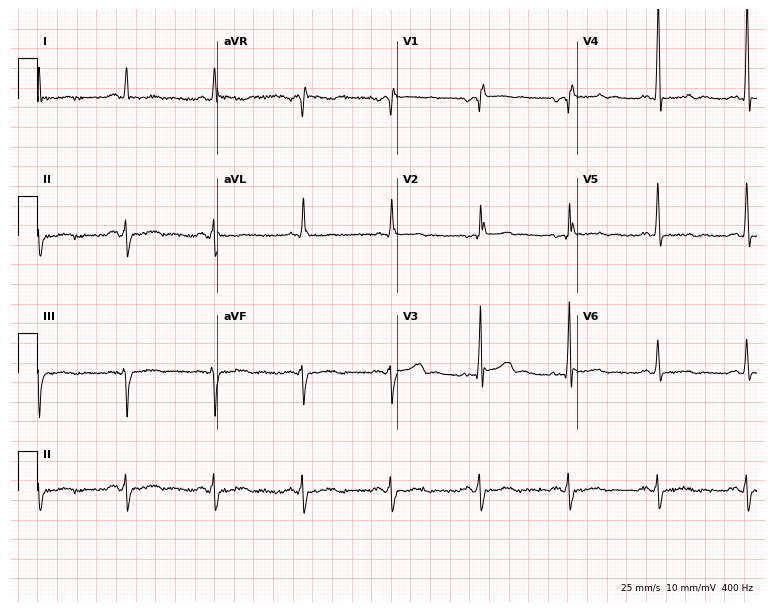
Resting 12-lead electrocardiogram. Patient: a 70-year-old male. None of these six findings is recorded: first-degree AV block, right bundle branch block (RBBB), left bundle branch block (LBBB), sinus bradycardia, atrial fibrillation (AF), sinus tachycardia. Findings outside these six are not listed.